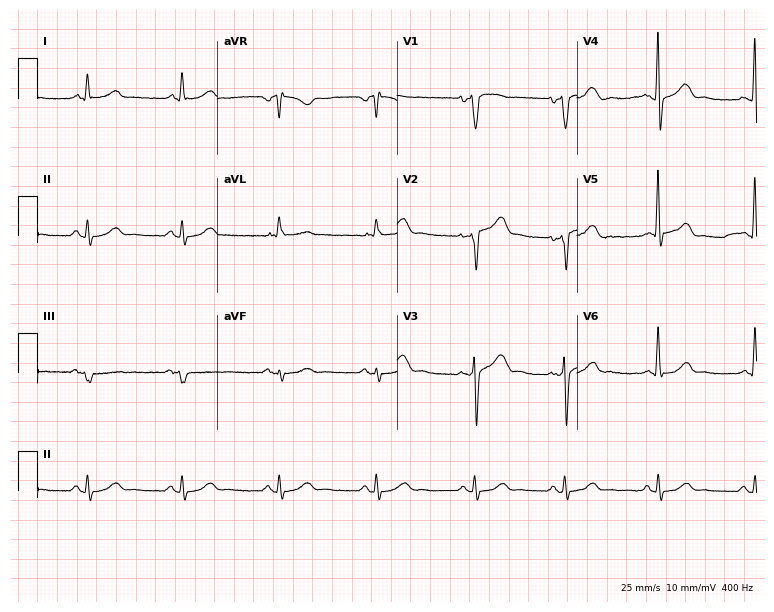
12-lead ECG (7.3-second recording at 400 Hz) from a male, 57 years old. Labelled as a normal ECG.